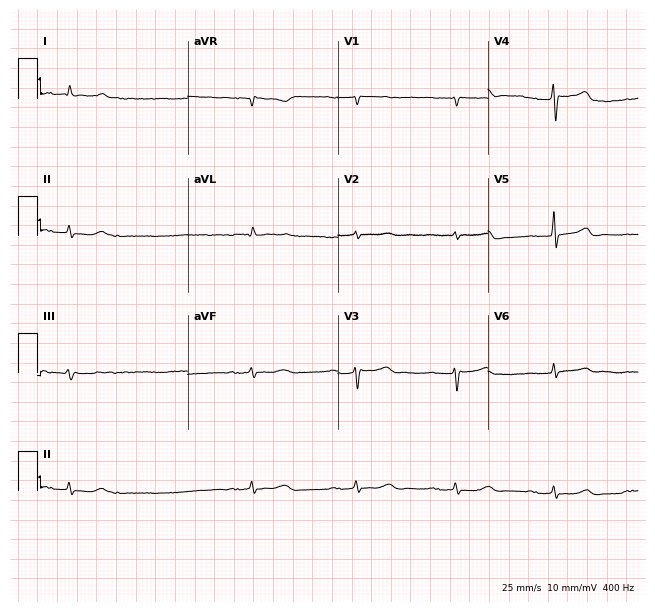
Standard 12-lead ECG recorded from a 75-year-old man (6.1-second recording at 400 Hz). None of these six findings is recorded: first-degree AV block, right bundle branch block (RBBB), left bundle branch block (LBBB), sinus bradycardia, atrial fibrillation (AF), sinus tachycardia.